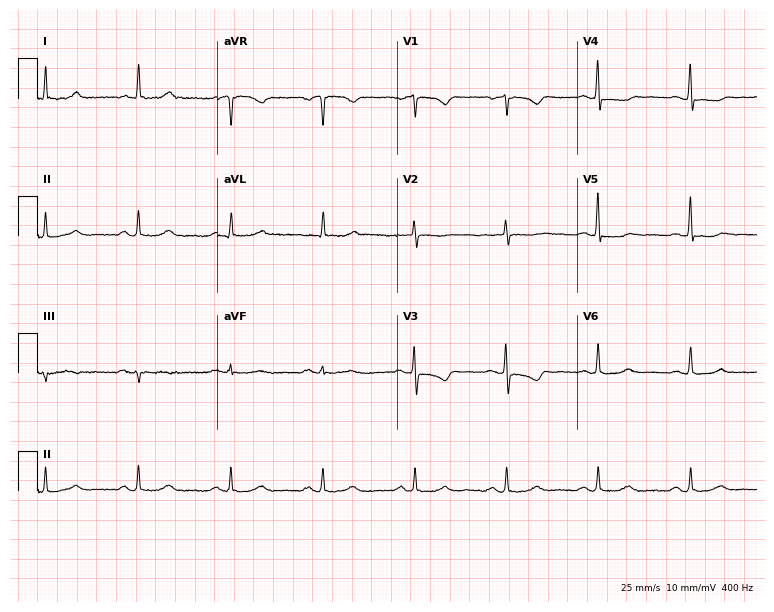
Electrocardiogram, a 65-year-old woman. Of the six screened findings (first-degree AV block, right bundle branch block, left bundle branch block, sinus bradycardia, atrial fibrillation, sinus tachycardia), none is recorded. Findings outside these six are not listed.